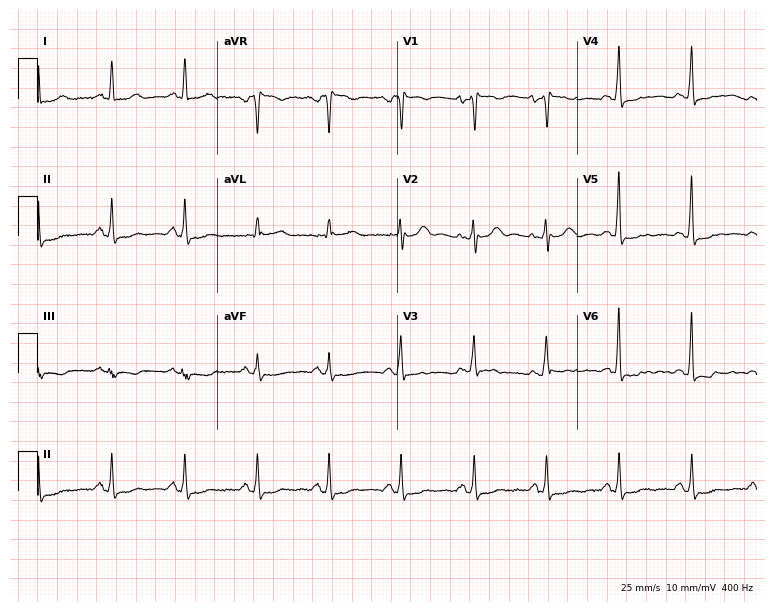
Electrocardiogram, a 48-year-old female patient. Of the six screened findings (first-degree AV block, right bundle branch block (RBBB), left bundle branch block (LBBB), sinus bradycardia, atrial fibrillation (AF), sinus tachycardia), none is recorded.